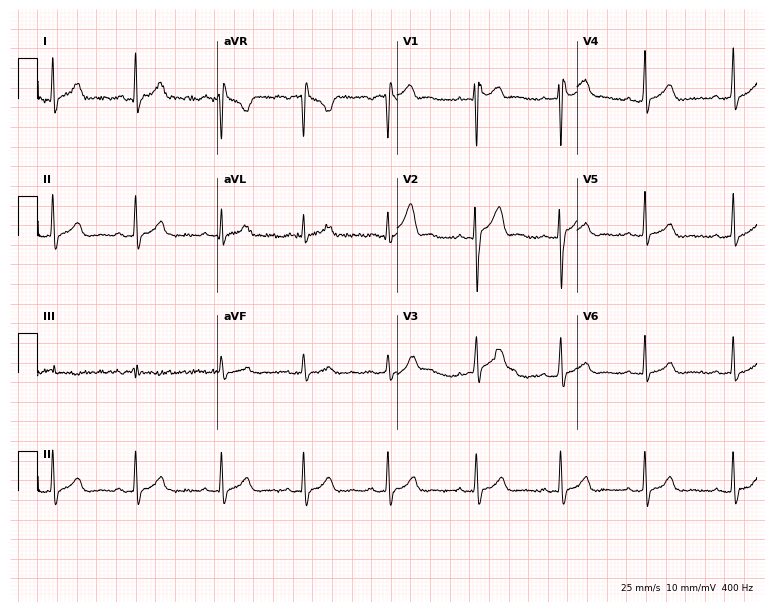
Resting 12-lead electrocardiogram. Patient: a man, 19 years old. Read as a normal ECG.